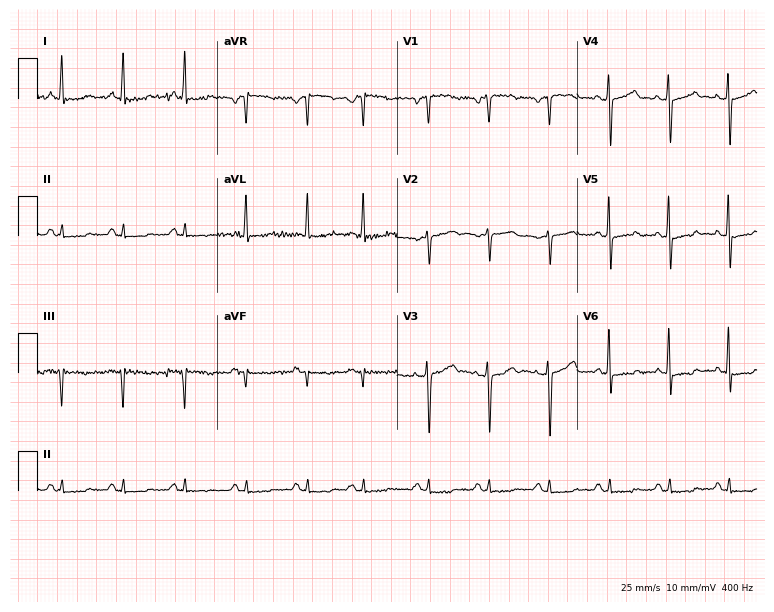
Resting 12-lead electrocardiogram (7.3-second recording at 400 Hz). Patient: a 62-year-old male. None of these six findings is recorded: first-degree AV block, right bundle branch block, left bundle branch block, sinus bradycardia, atrial fibrillation, sinus tachycardia. Findings outside these six are not listed.